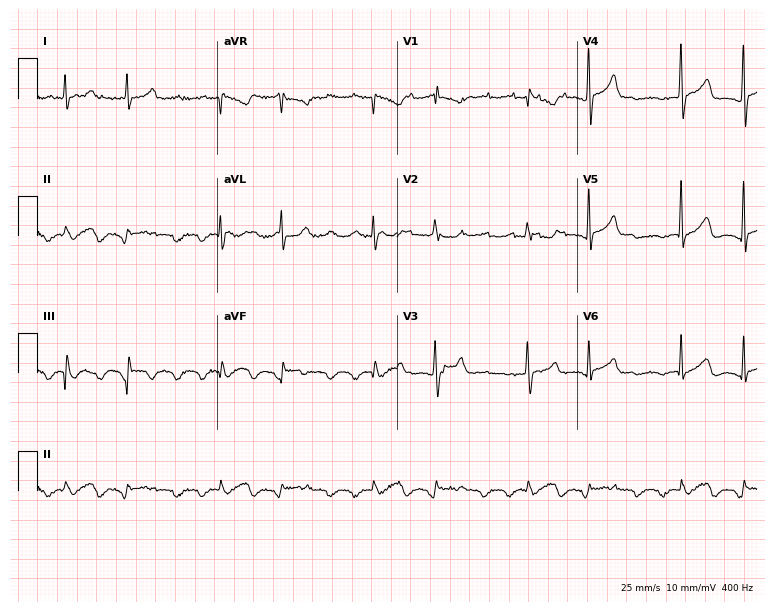
Standard 12-lead ECG recorded from a 46-year-old male (7.3-second recording at 400 Hz). None of these six findings is recorded: first-degree AV block, right bundle branch block, left bundle branch block, sinus bradycardia, atrial fibrillation, sinus tachycardia.